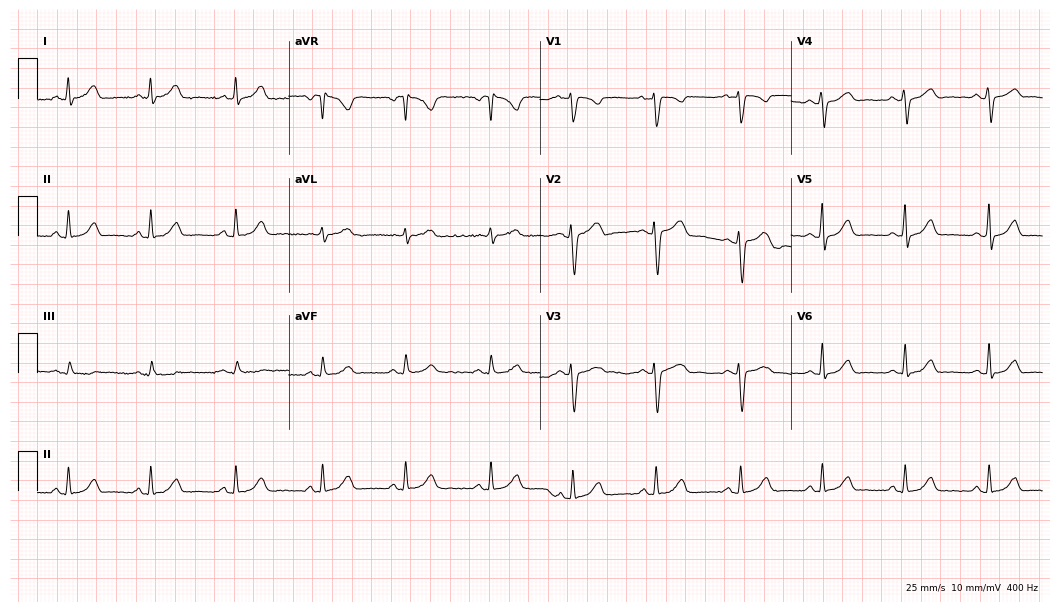
Standard 12-lead ECG recorded from a female patient, 39 years old (10.2-second recording at 400 Hz). Read as a normal ECG.